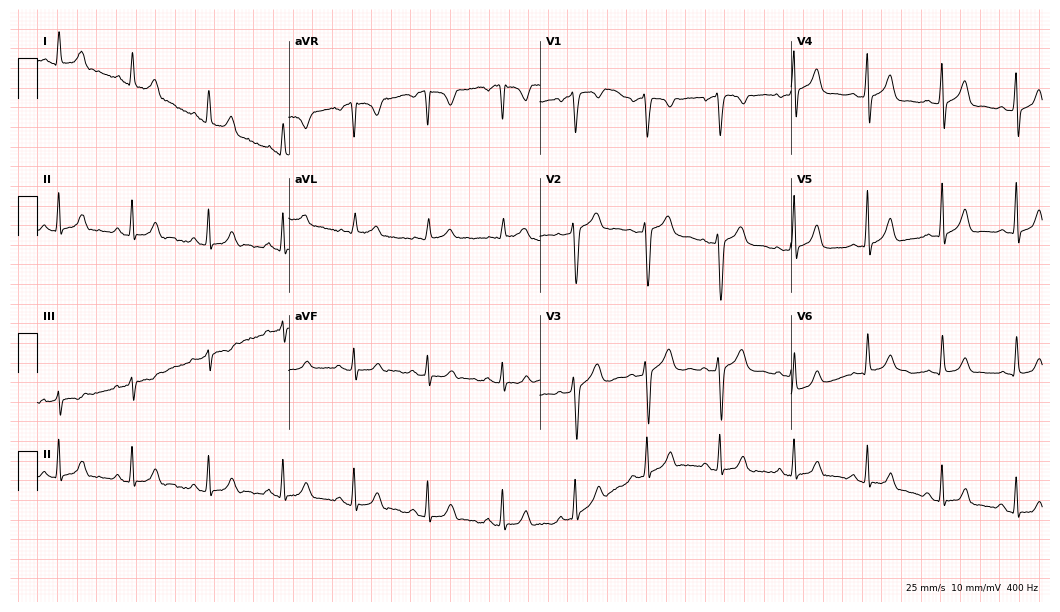
Resting 12-lead electrocardiogram (10.2-second recording at 400 Hz). Patient: a 31-year-old female. Read as a normal ECG.